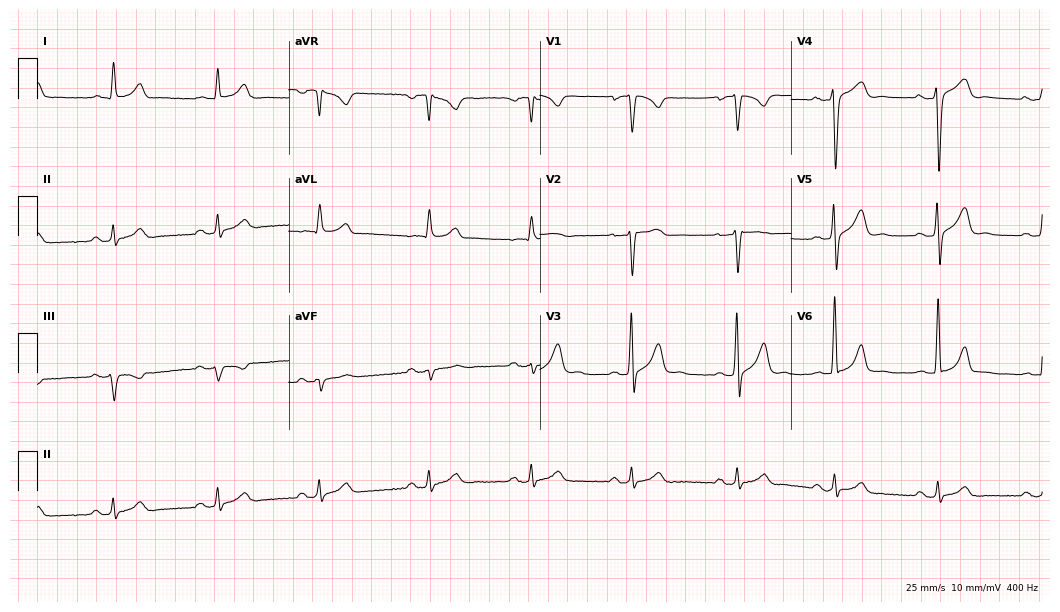
12-lead ECG from a 53-year-old male patient (10.2-second recording at 400 Hz). Recorded interpretation: within normal limits.